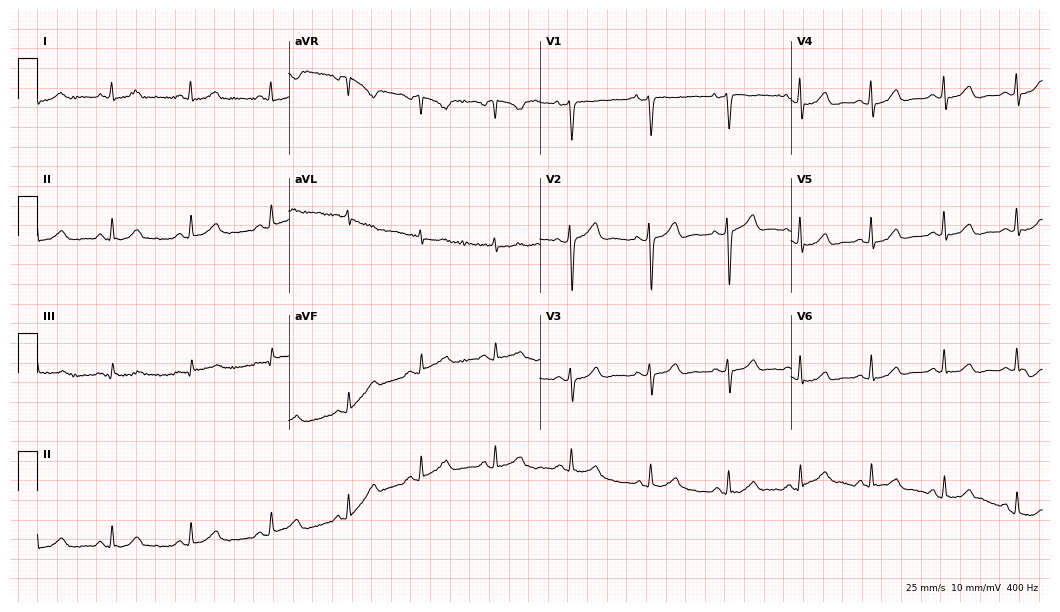
Resting 12-lead electrocardiogram. Patient: a woman, 49 years old. None of these six findings is recorded: first-degree AV block, right bundle branch block, left bundle branch block, sinus bradycardia, atrial fibrillation, sinus tachycardia. Only these six findings were labelled.